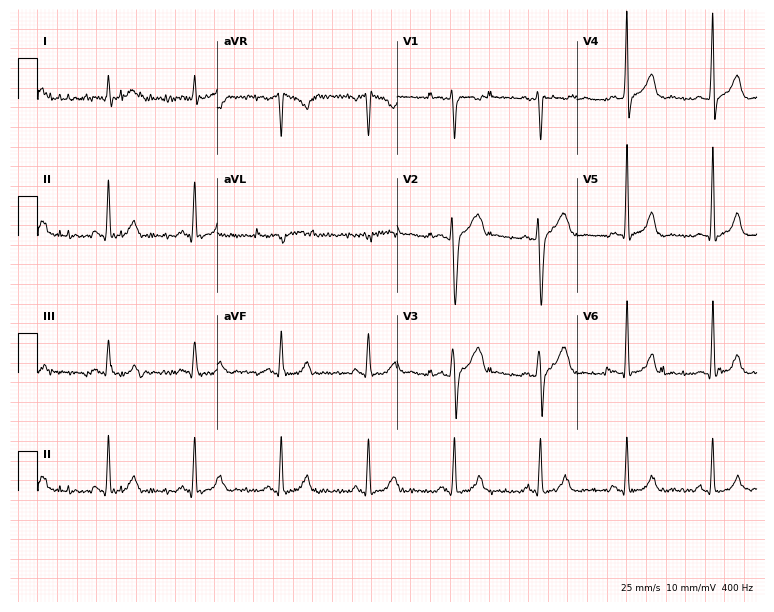
12-lead ECG from a man, 50 years old. Recorded interpretation: within normal limits.